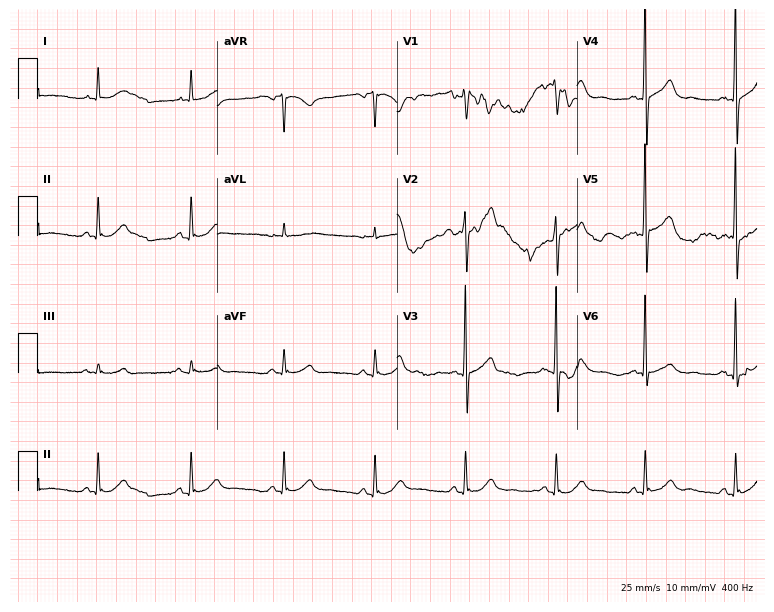
Standard 12-lead ECG recorded from a 63-year-old man. None of these six findings is recorded: first-degree AV block, right bundle branch block (RBBB), left bundle branch block (LBBB), sinus bradycardia, atrial fibrillation (AF), sinus tachycardia.